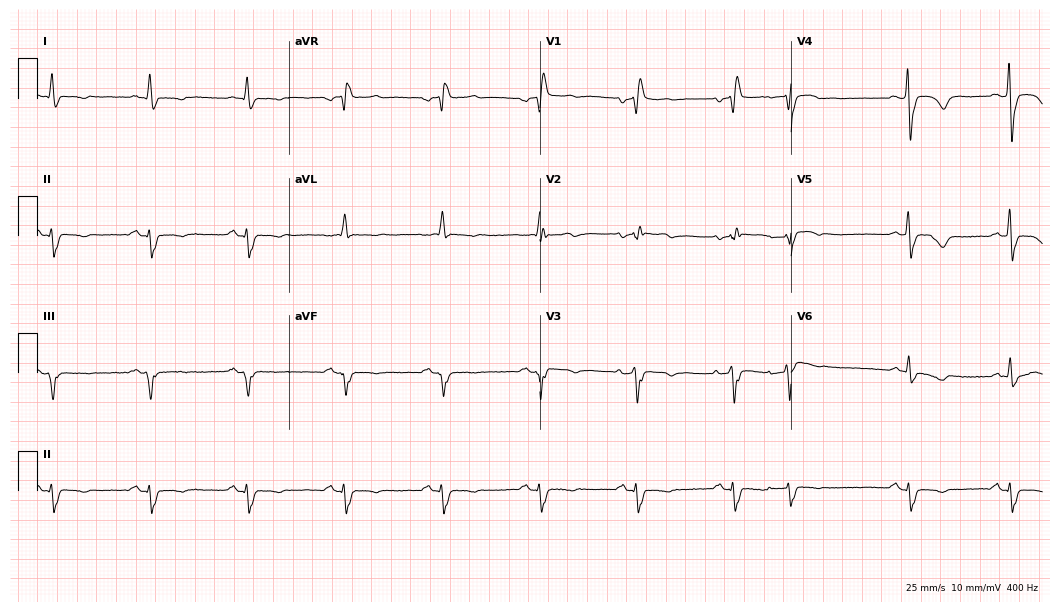
Electrocardiogram, a woman, 58 years old. Interpretation includes right bundle branch block.